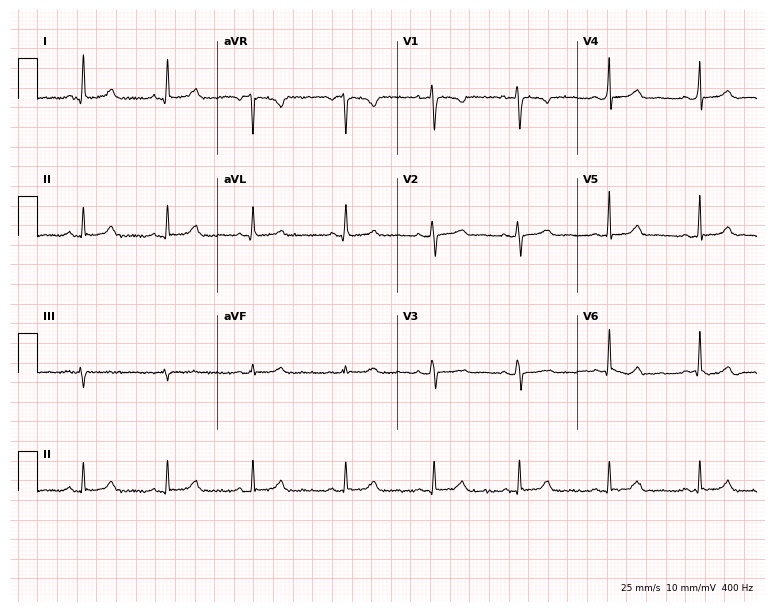
Standard 12-lead ECG recorded from a 29-year-old female patient (7.3-second recording at 400 Hz). Read as a normal ECG.